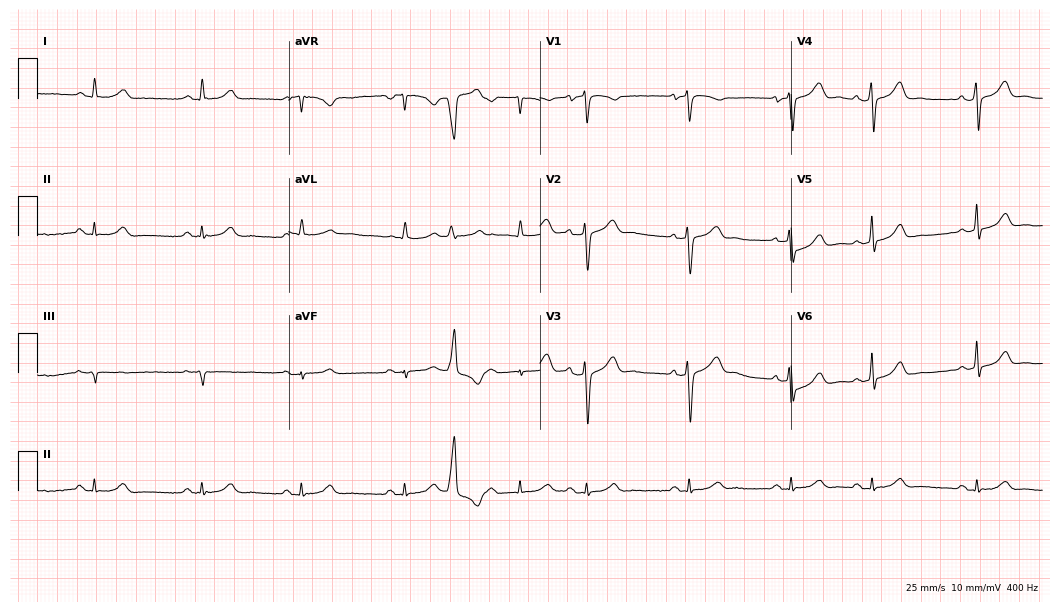
Electrocardiogram (10.2-second recording at 400 Hz), a 65-year-old male. Overall reading on record: normal ECG.